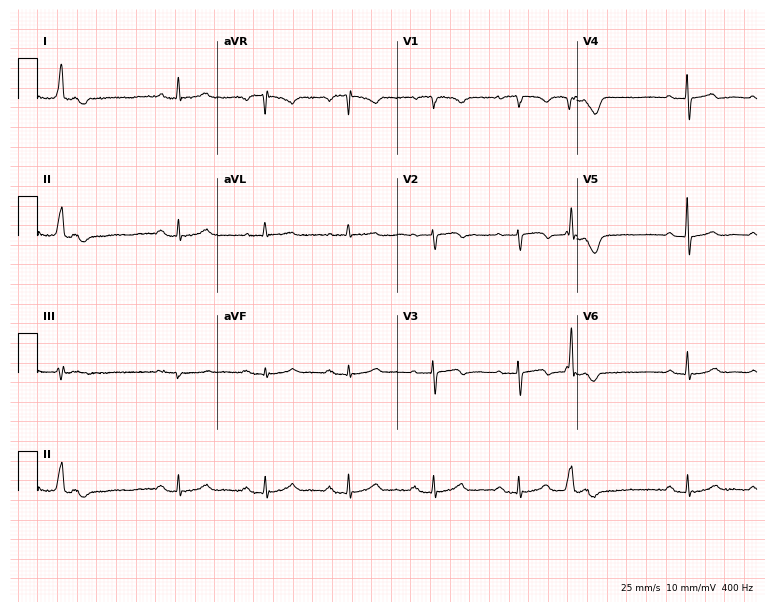
12-lead ECG (7.3-second recording at 400 Hz) from an 82-year-old female patient. Screened for six findings — first-degree AV block, right bundle branch block, left bundle branch block, sinus bradycardia, atrial fibrillation, sinus tachycardia — none is recorded. Other findings, if any, are not listed.